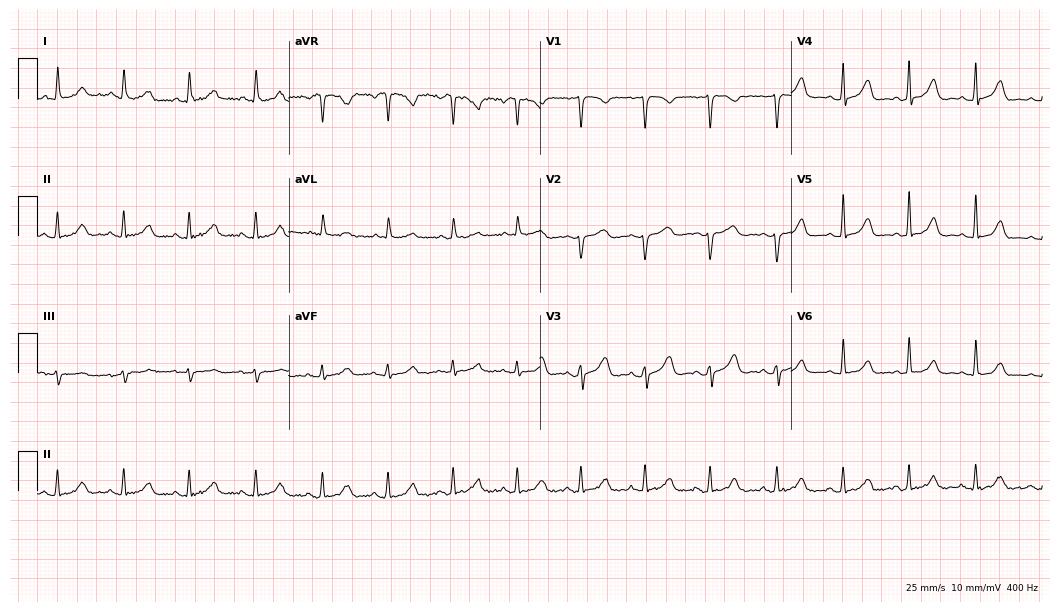
Resting 12-lead electrocardiogram (10.2-second recording at 400 Hz). Patient: a female, 43 years old. Read as a normal ECG.